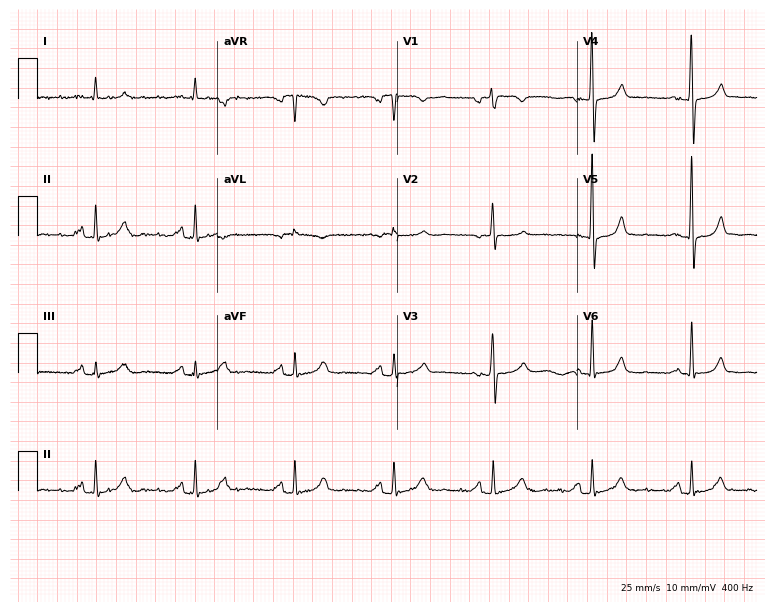
12-lead ECG from a female patient, 61 years old. Recorded interpretation: within normal limits.